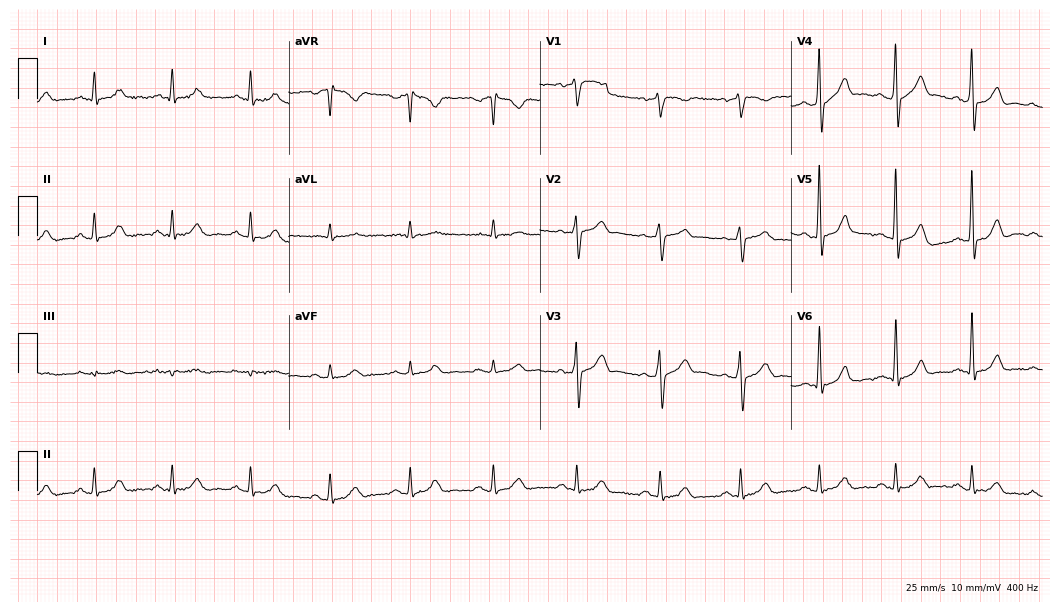
12-lead ECG from a male patient, 50 years old (10.2-second recording at 400 Hz). Recorded interpretation: within normal limits.